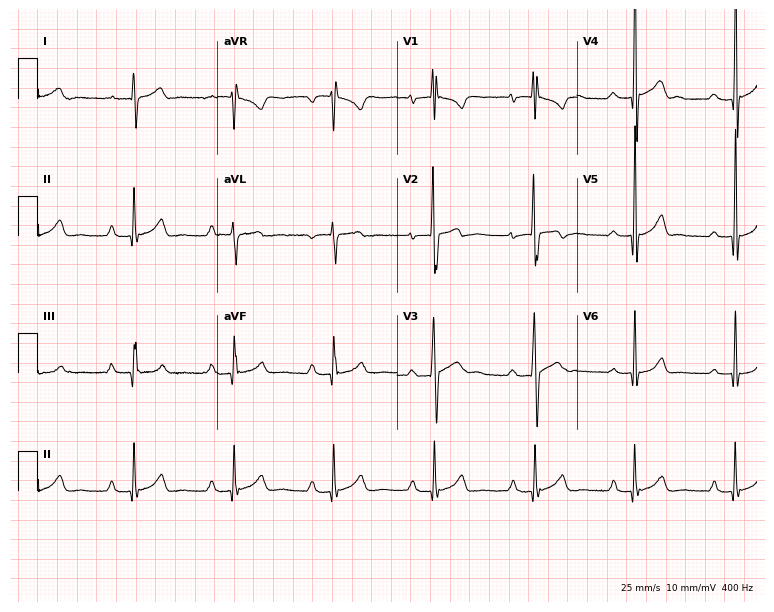
ECG (7.3-second recording at 400 Hz) — a 17-year-old man. Screened for six findings — first-degree AV block, right bundle branch block (RBBB), left bundle branch block (LBBB), sinus bradycardia, atrial fibrillation (AF), sinus tachycardia — none is recorded.